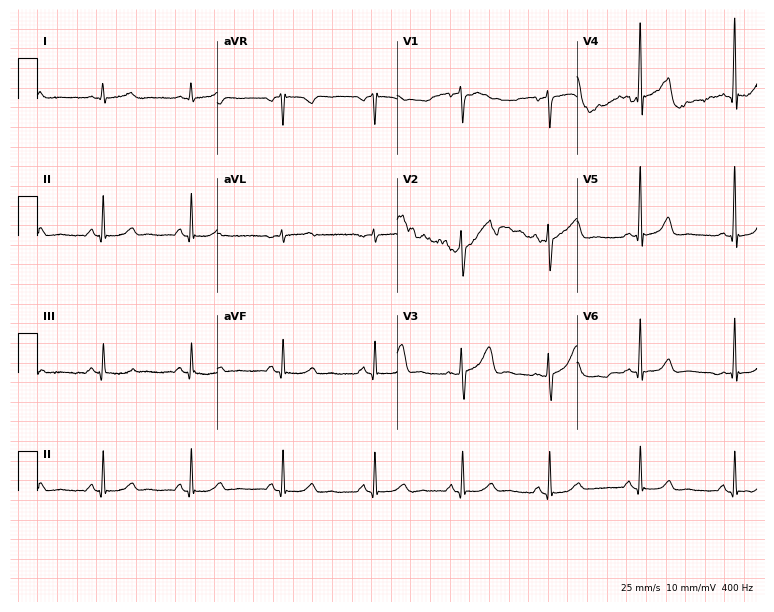
12-lead ECG from a 51-year-old female (7.3-second recording at 400 Hz). Recorded interpretation: within normal limits.